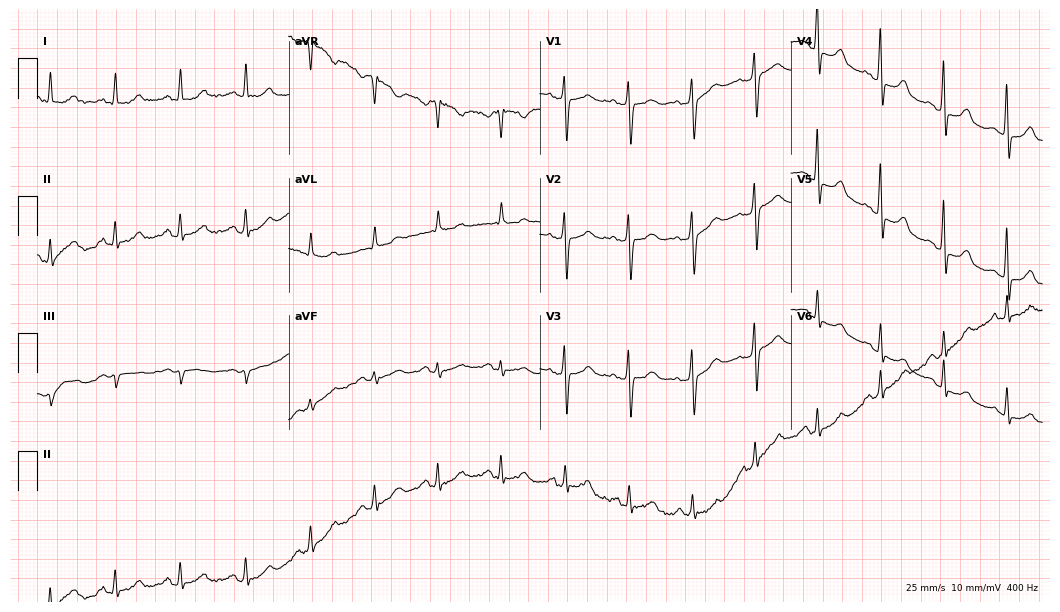
Resting 12-lead electrocardiogram (10.2-second recording at 400 Hz). Patient: a female, 58 years old. None of these six findings is recorded: first-degree AV block, right bundle branch block, left bundle branch block, sinus bradycardia, atrial fibrillation, sinus tachycardia. Only these six findings were labelled.